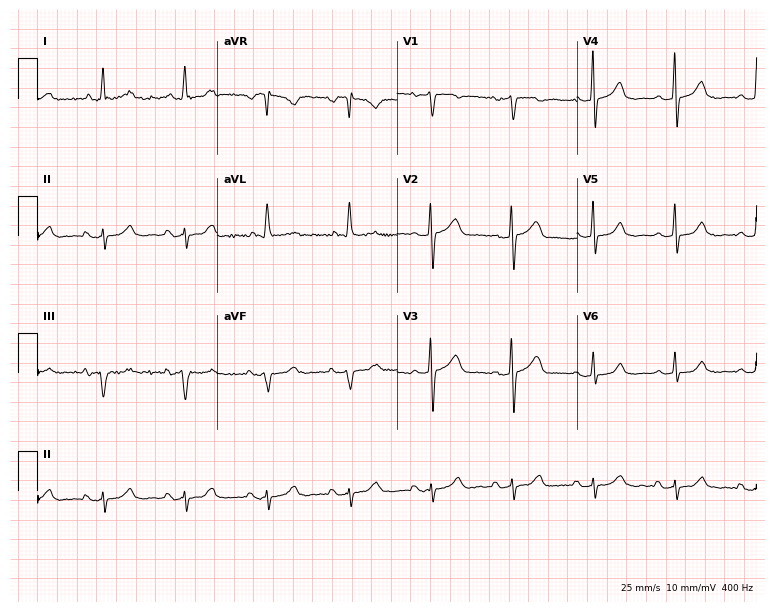
Standard 12-lead ECG recorded from a 59-year-old female. None of these six findings is recorded: first-degree AV block, right bundle branch block, left bundle branch block, sinus bradycardia, atrial fibrillation, sinus tachycardia.